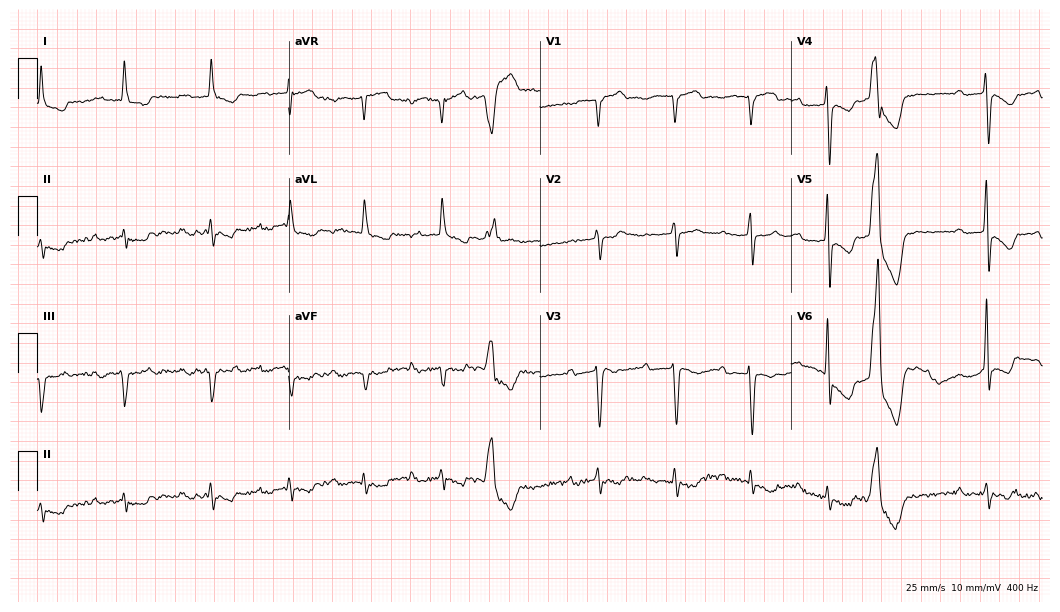
12-lead ECG from a male, 79 years old (10.2-second recording at 400 Hz). No first-degree AV block, right bundle branch block, left bundle branch block, sinus bradycardia, atrial fibrillation or sinus tachycardia recorded for this tracing.